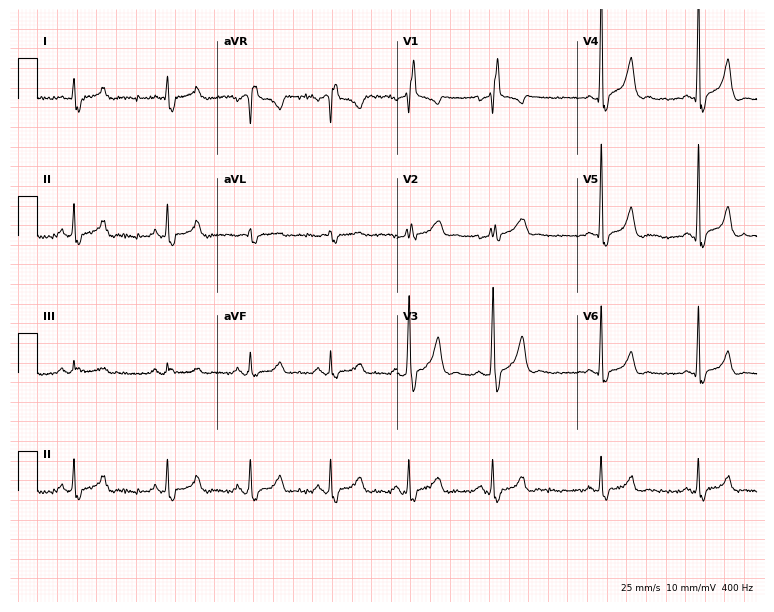
Electrocardiogram, a male, 38 years old. Interpretation includes right bundle branch block.